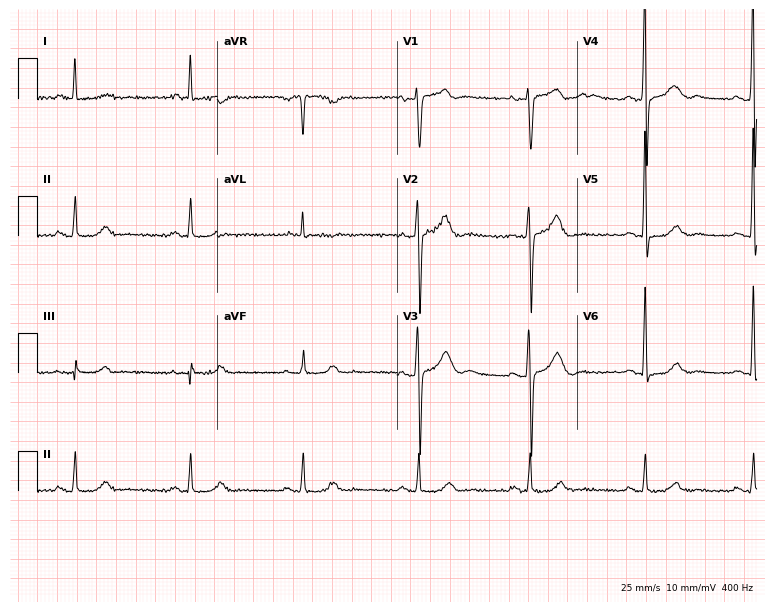
ECG — a 52-year-old man. Labelled as a normal ECG.